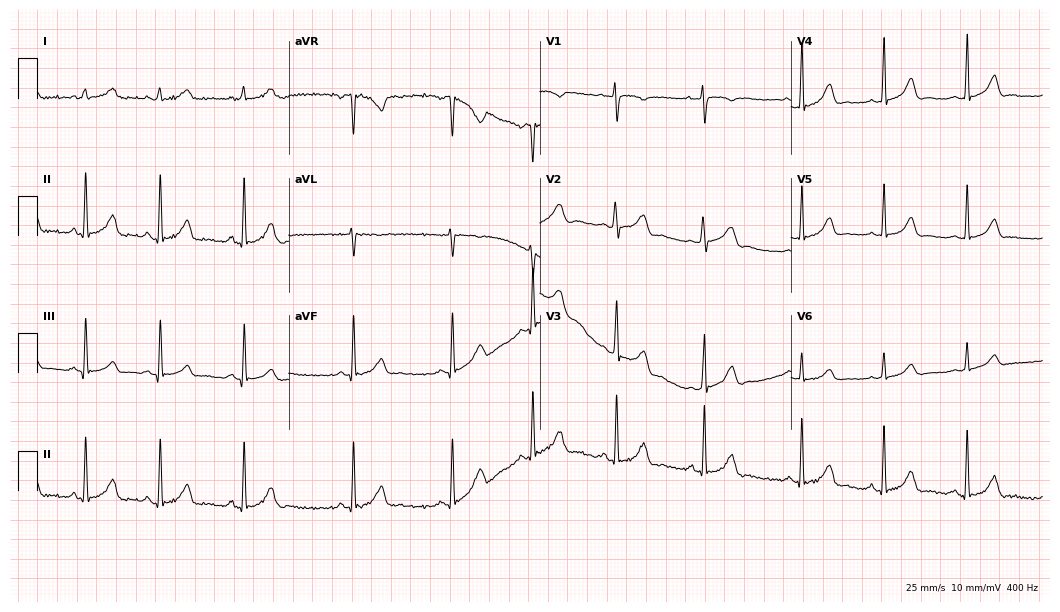
12-lead ECG from a female patient, 25 years old (10.2-second recording at 400 Hz). Recorded interpretation: within normal limits.